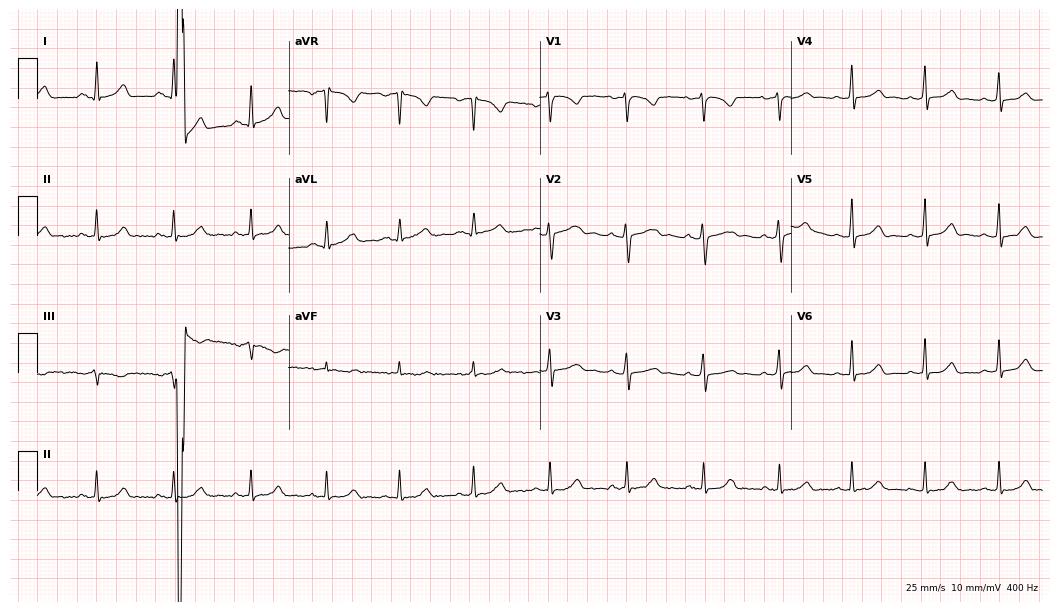
Resting 12-lead electrocardiogram. Patient: a female, 23 years old. Read as a normal ECG.